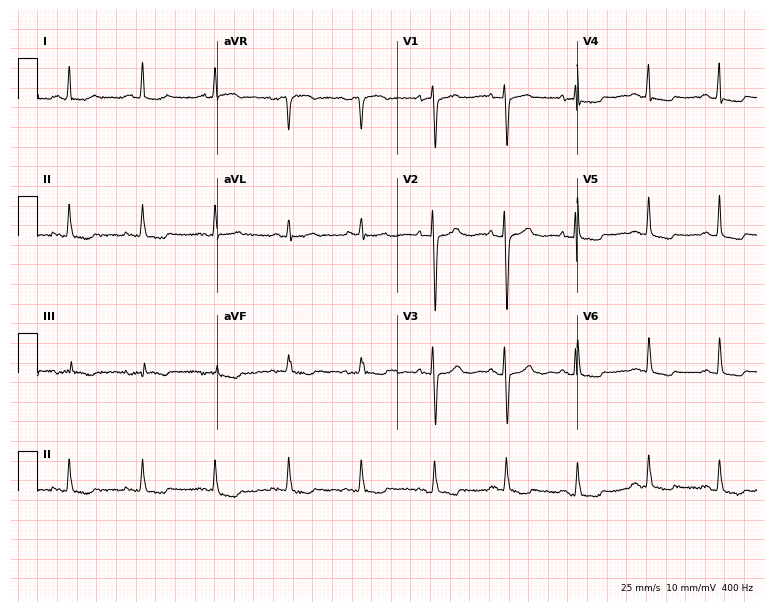
12-lead ECG (7.3-second recording at 400 Hz) from a 72-year-old female patient. Screened for six findings — first-degree AV block, right bundle branch block, left bundle branch block, sinus bradycardia, atrial fibrillation, sinus tachycardia — none is recorded. Only these six findings were labelled.